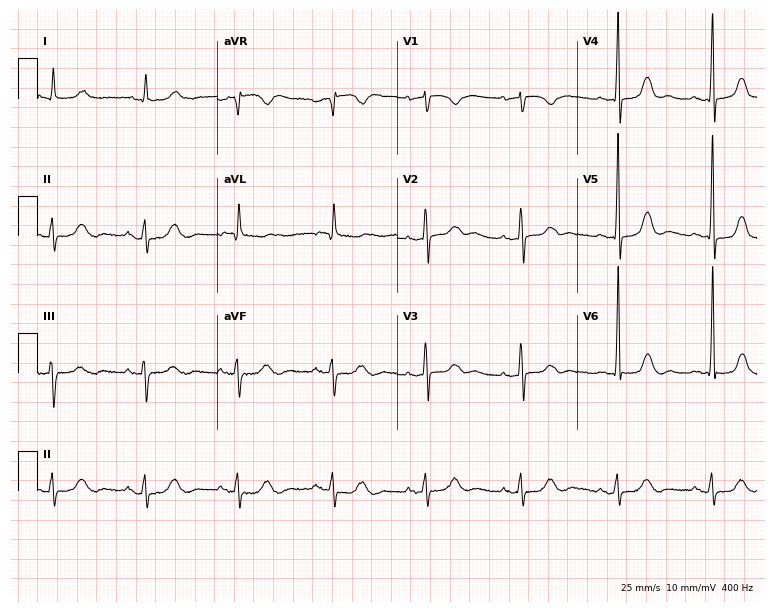
12-lead ECG from a 68-year-old female (7.3-second recording at 400 Hz). No first-degree AV block, right bundle branch block (RBBB), left bundle branch block (LBBB), sinus bradycardia, atrial fibrillation (AF) or sinus tachycardia recorded for this tracing.